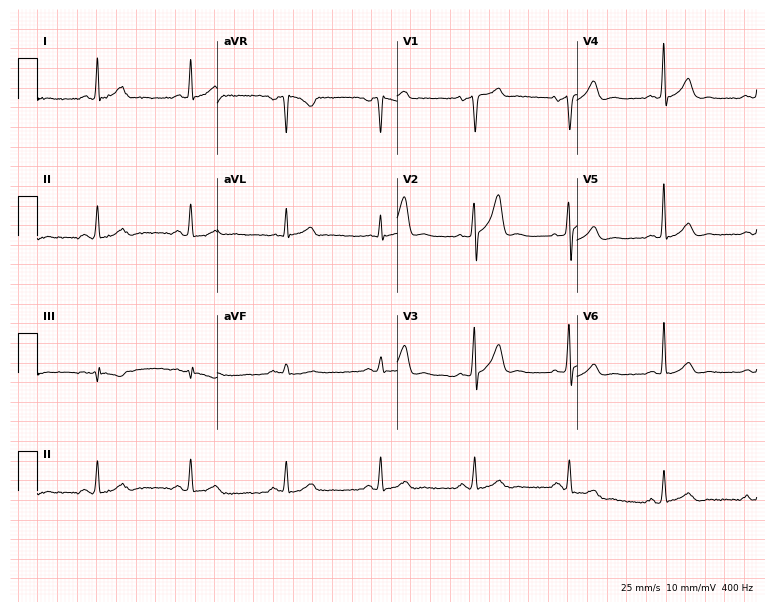
Standard 12-lead ECG recorded from a 56-year-old male patient. None of these six findings is recorded: first-degree AV block, right bundle branch block, left bundle branch block, sinus bradycardia, atrial fibrillation, sinus tachycardia.